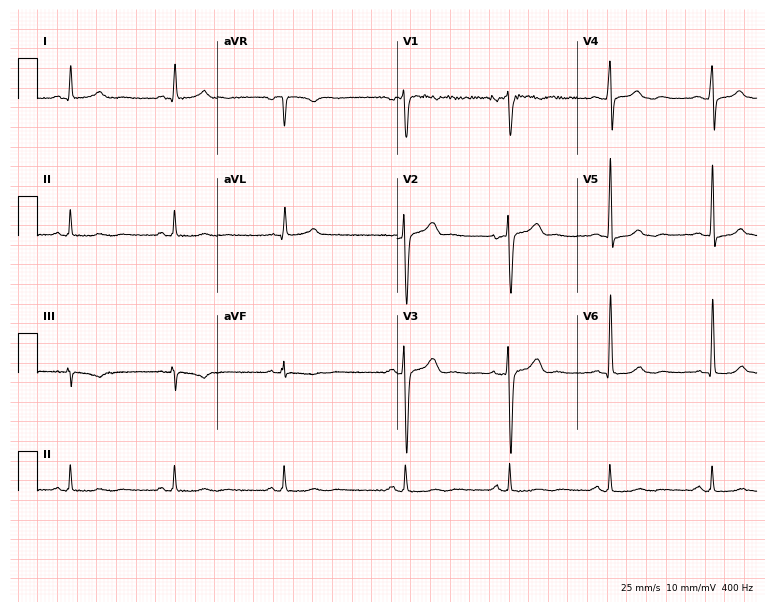
ECG — a 47-year-old male. Screened for six findings — first-degree AV block, right bundle branch block (RBBB), left bundle branch block (LBBB), sinus bradycardia, atrial fibrillation (AF), sinus tachycardia — none is recorded. Only these six findings were labelled.